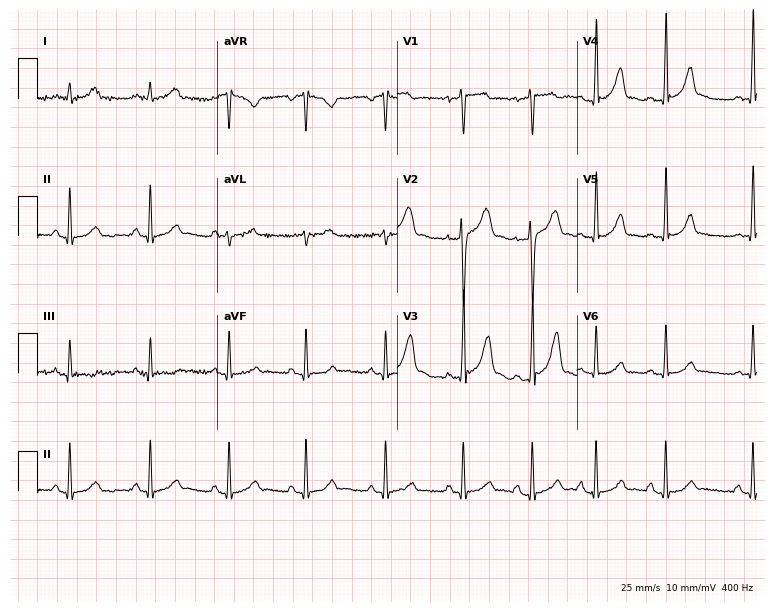
12-lead ECG from a 31-year-old man. No first-degree AV block, right bundle branch block, left bundle branch block, sinus bradycardia, atrial fibrillation or sinus tachycardia recorded for this tracing.